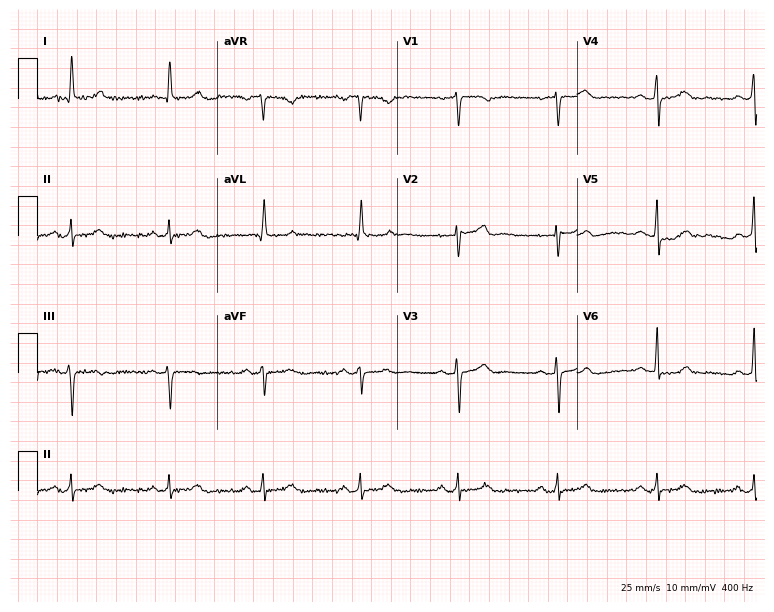
Resting 12-lead electrocardiogram (7.3-second recording at 400 Hz). Patient: a 48-year-old female. None of these six findings is recorded: first-degree AV block, right bundle branch block, left bundle branch block, sinus bradycardia, atrial fibrillation, sinus tachycardia.